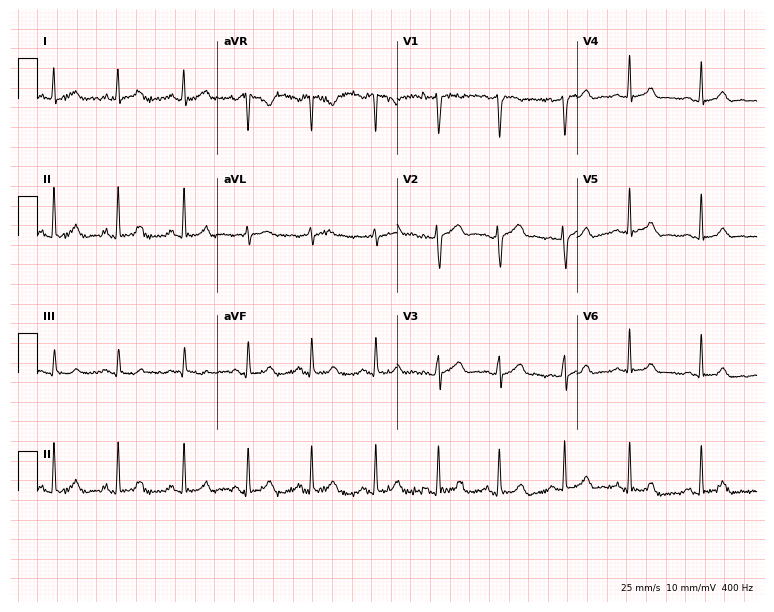
ECG (7.3-second recording at 400 Hz) — a woman, 20 years old. Screened for six findings — first-degree AV block, right bundle branch block, left bundle branch block, sinus bradycardia, atrial fibrillation, sinus tachycardia — none is recorded. Only these six findings were labelled.